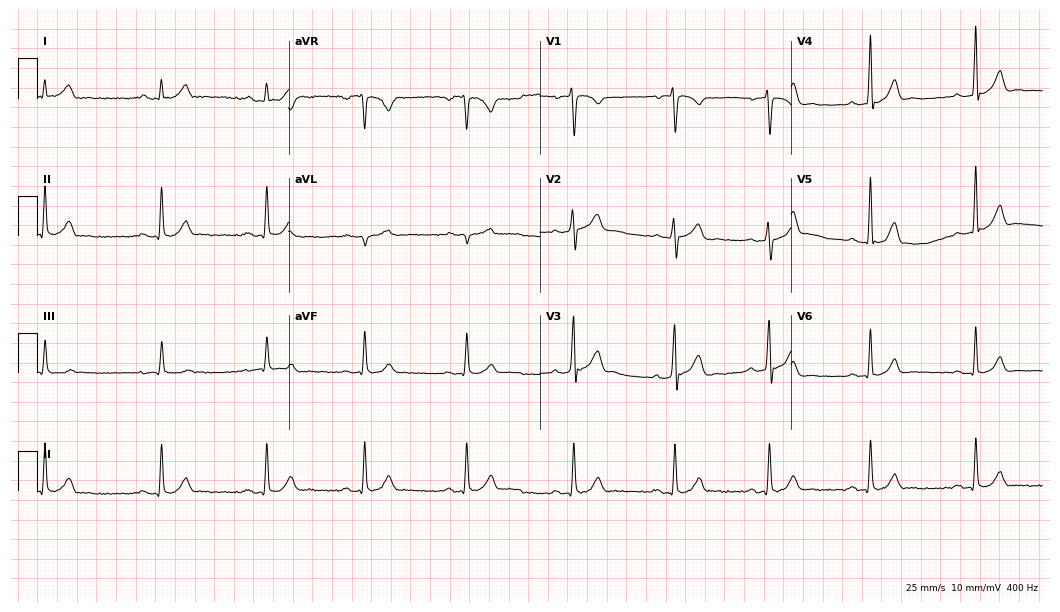
12-lead ECG from a 37-year-old male. Labelled as a normal ECG.